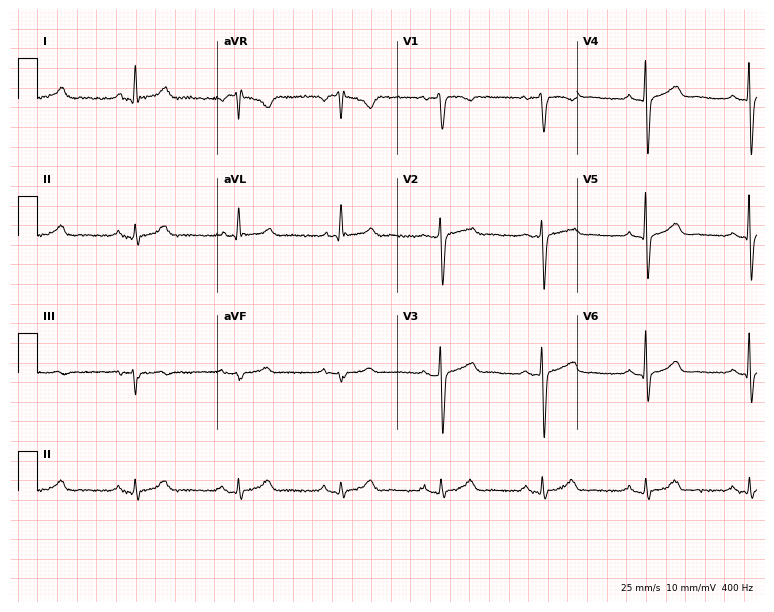
Resting 12-lead electrocardiogram. Patient: a male, 55 years old. Read as a normal ECG.